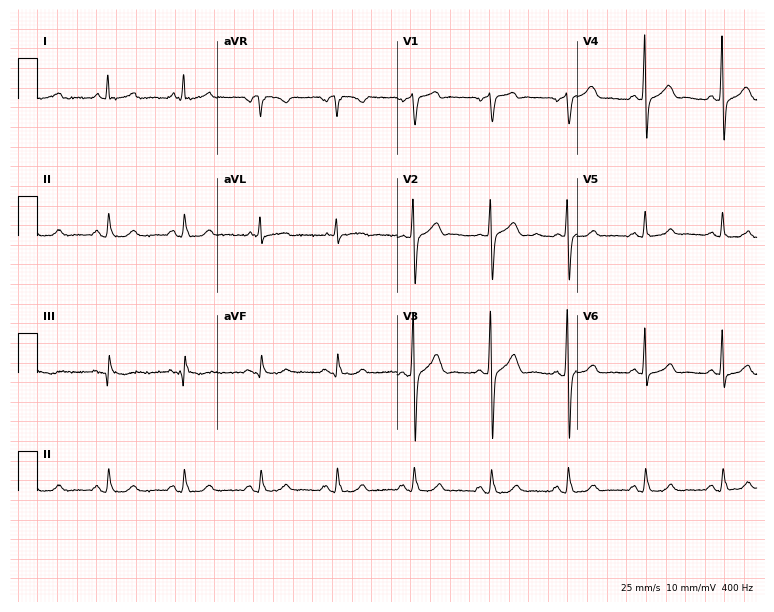
Standard 12-lead ECG recorded from a male, 59 years old. Read as a normal ECG.